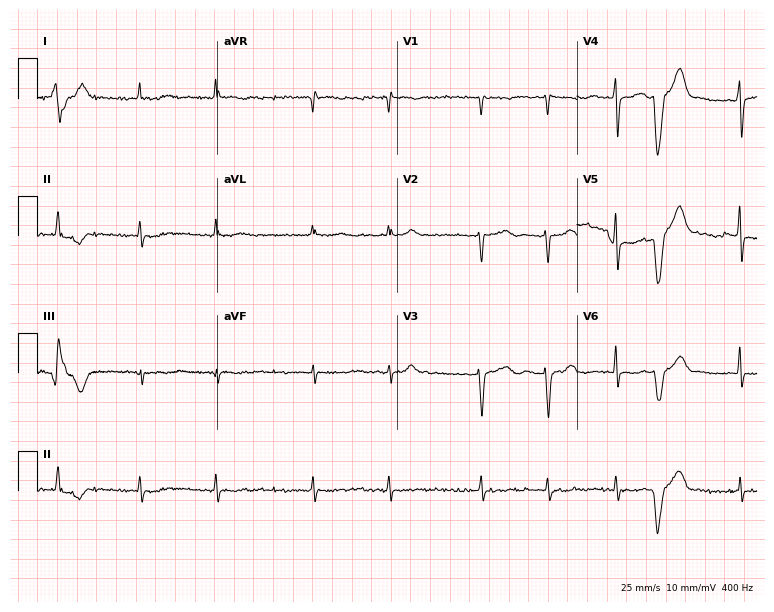
12-lead ECG from a female patient, 59 years old. Findings include atrial fibrillation.